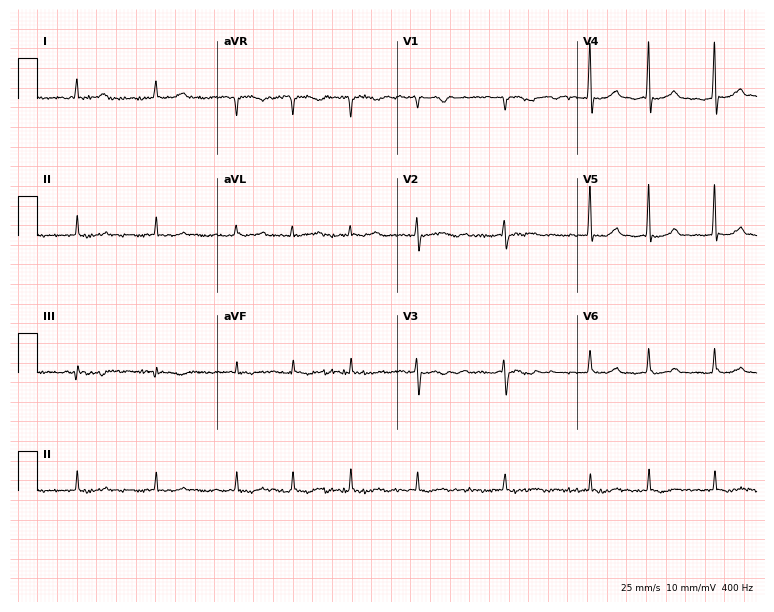
12-lead ECG from a 75-year-old female patient. Shows atrial fibrillation.